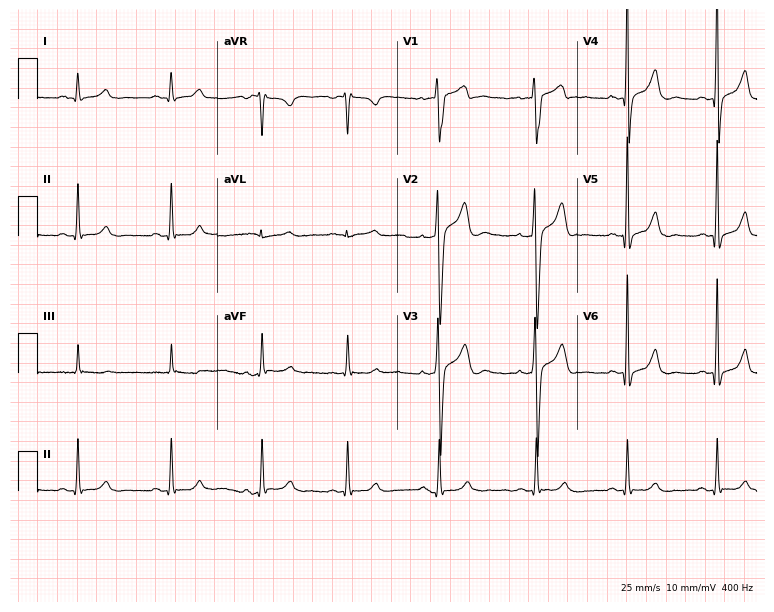
Electrocardiogram, a male, 28 years old. Of the six screened findings (first-degree AV block, right bundle branch block, left bundle branch block, sinus bradycardia, atrial fibrillation, sinus tachycardia), none is recorded. Only these six findings were labelled.